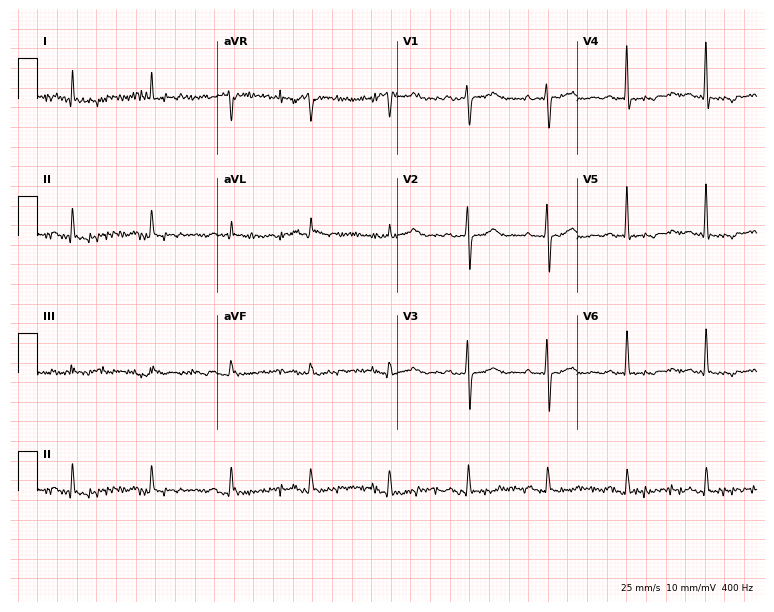
Resting 12-lead electrocardiogram. Patient: a 70-year-old female. None of these six findings is recorded: first-degree AV block, right bundle branch block, left bundle branch block, sinus bradycardia, atrial fibrillation, sinus tachycardia. Findings outside these six are not listed.